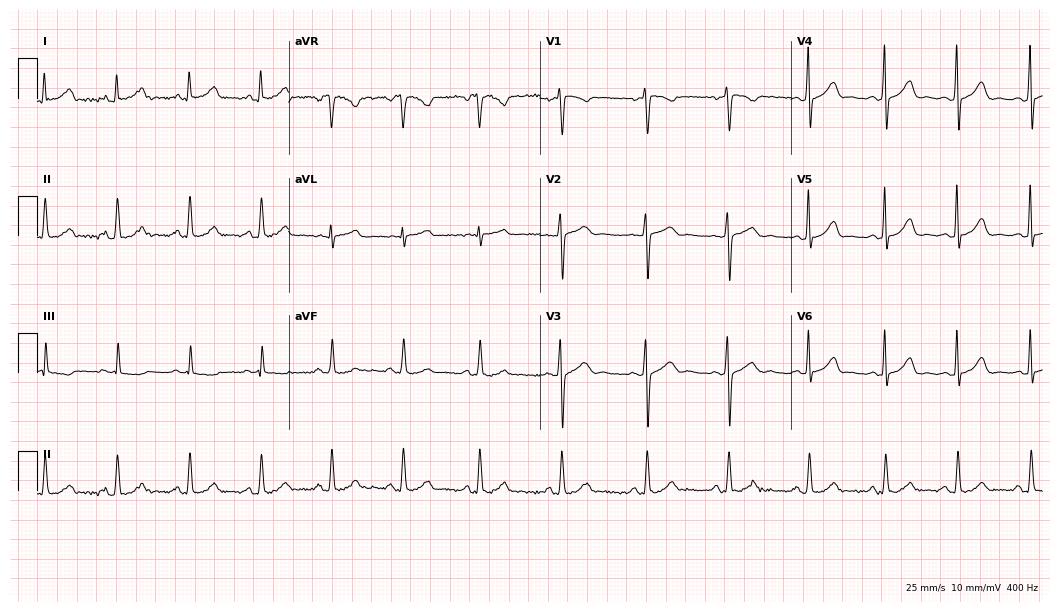
12-lead ECG from a 35-year-old female. Labelled as a normal ECG.